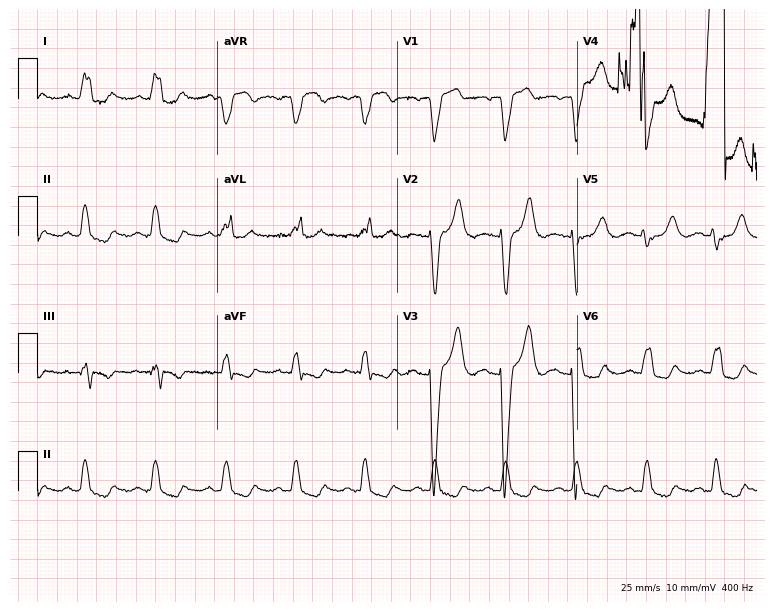
12-lead ECG from a 77-year-old woman (7.3-second recording at 400 Hz). Shows left bundle branch block (LBBB).